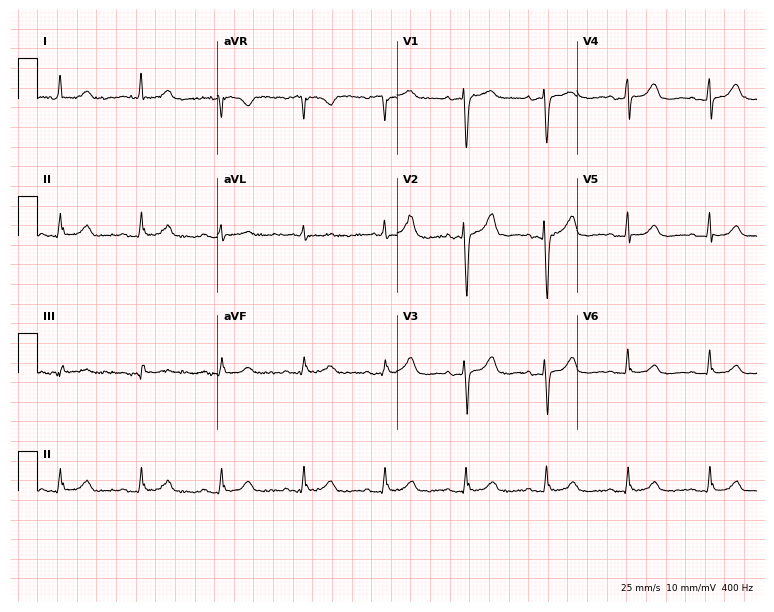
Electrocardiogram, an 83-year-old female patient. Overall reading on record: normal ECG.